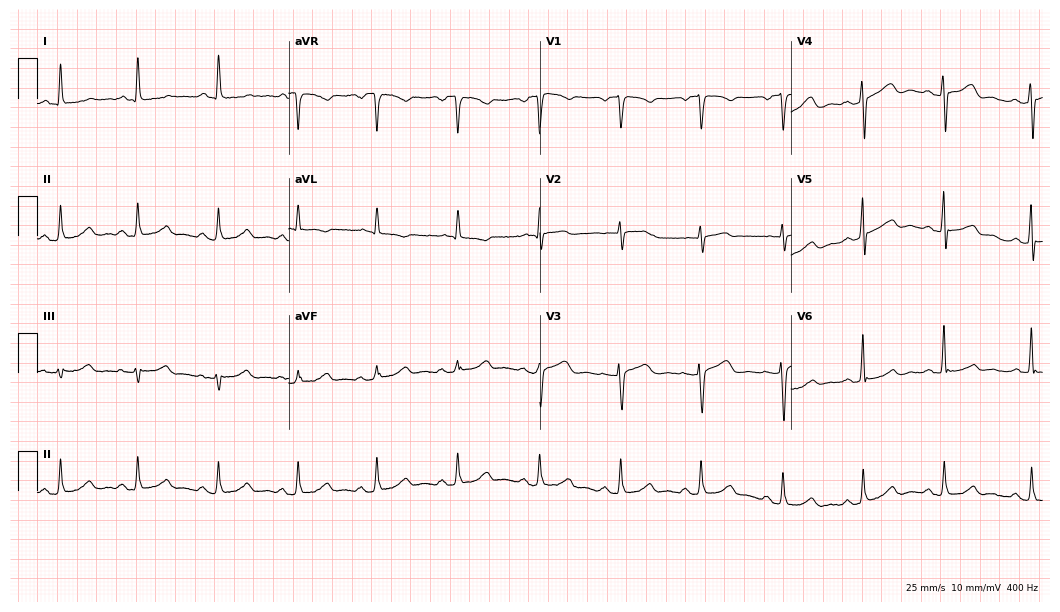
Electrocardiogram (10.2-second recording at 400 Hz), a female, 65 years old. Of the six screened findings (first-degree AV block, right bundle branch block, left bundle branch block, sinus bradycardia, atrial fibrillation, sinus tachycardia), none is recorded.